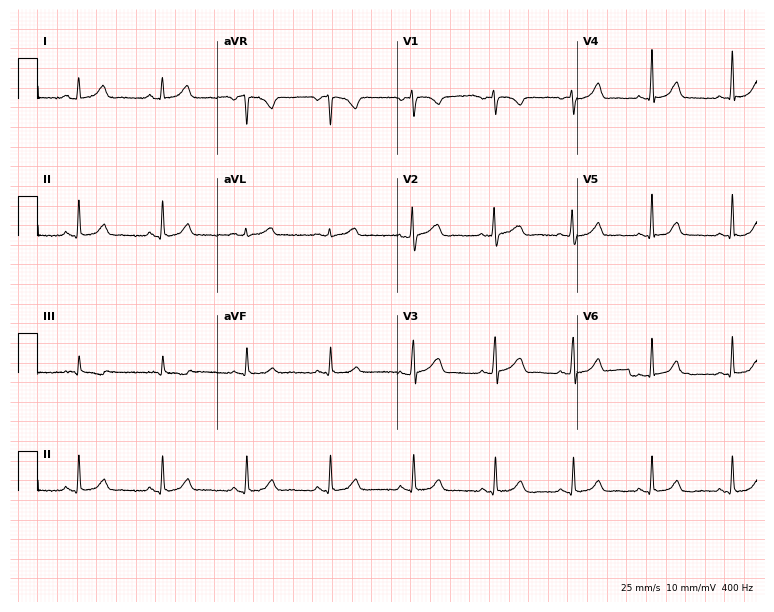
Electrocardiogram (7.3-second recording at 400 Hz), a 34-year-old woman. Overall reading on record: normal ECG.